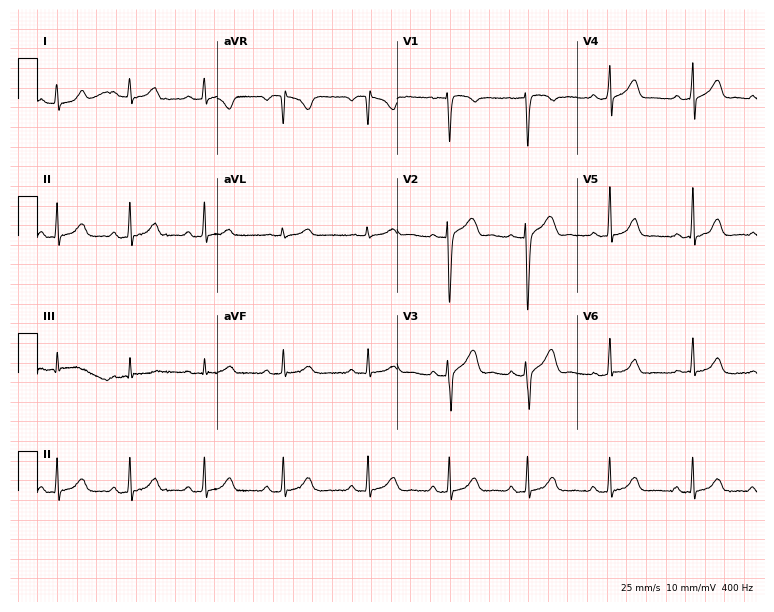
Standard 12-lead ECG recorded from a female, 32 years old (7.3-second recording at 400 Hz). None of these six findings is recorded: first-degree AV block, right bundle branch block (RBBB), left bundle branch block (LBBB), sinus bradycardia, atrial fibrillation (AF), sinus tachycardia. Other findings, if any, are not listed.